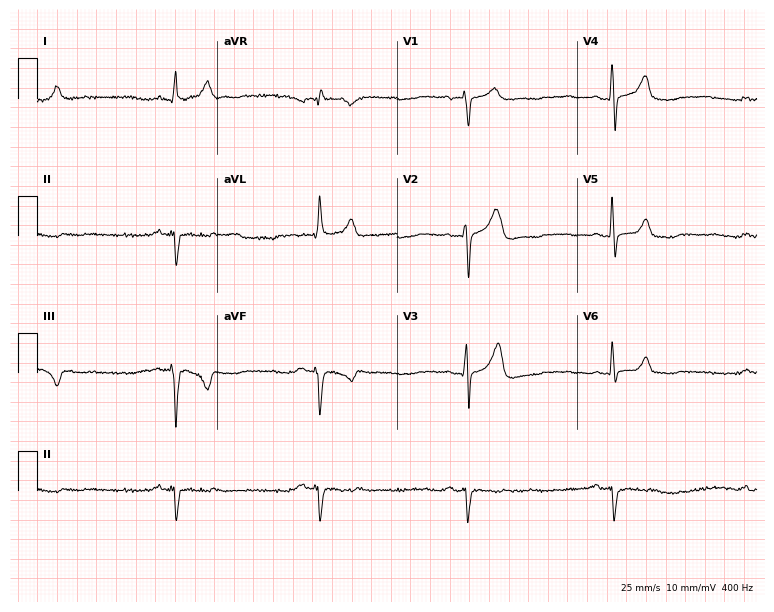
ECG — a 72-year-old man. Findings include sinus bradycardia (a sinus rate of 50 beats per minute or less).